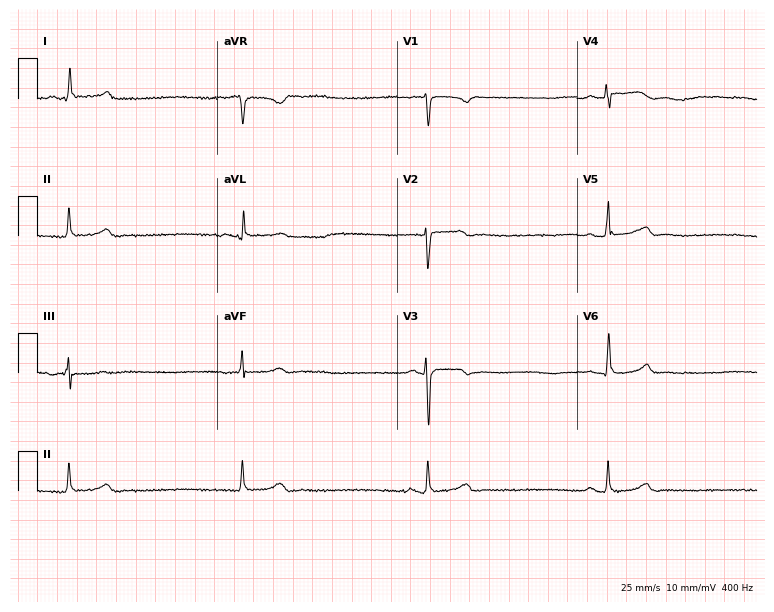
12-lead ECG (7.3-second recording at 400 Hz) from a woman, 44 years old. Screened for six findings — first-degree AV block, right bundle branch block, left bundle branch block, sinus bradycardia, atrial fibrillation, sinus tachycardia — none is recorded.